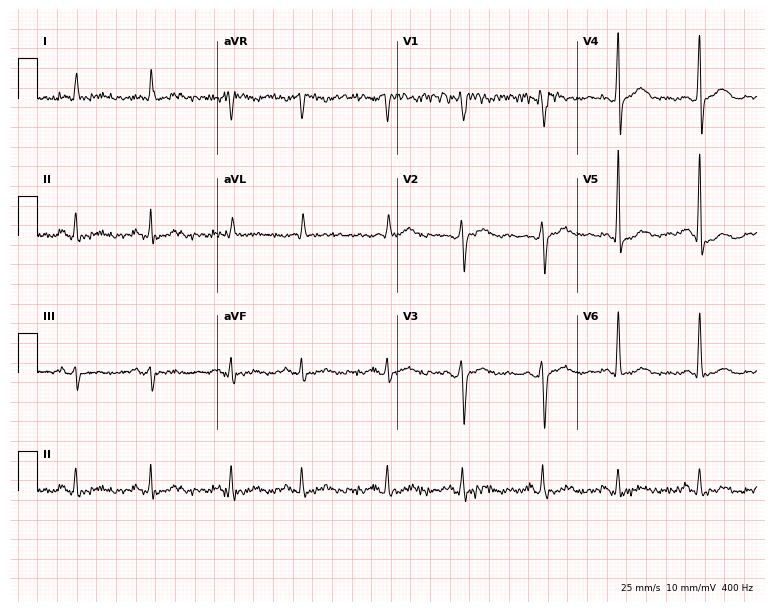
12-lead ECG from a 70-year-old man (7.3-second recording at 400 Hz). No first-degree AV block, right bundle branch block (RBBB), left bundle branch block (LBBB), sinus bradycardia, atrial fibrillation (AF) or sinus tachycardia recorded for this tracing. Only these six findings were labelled.